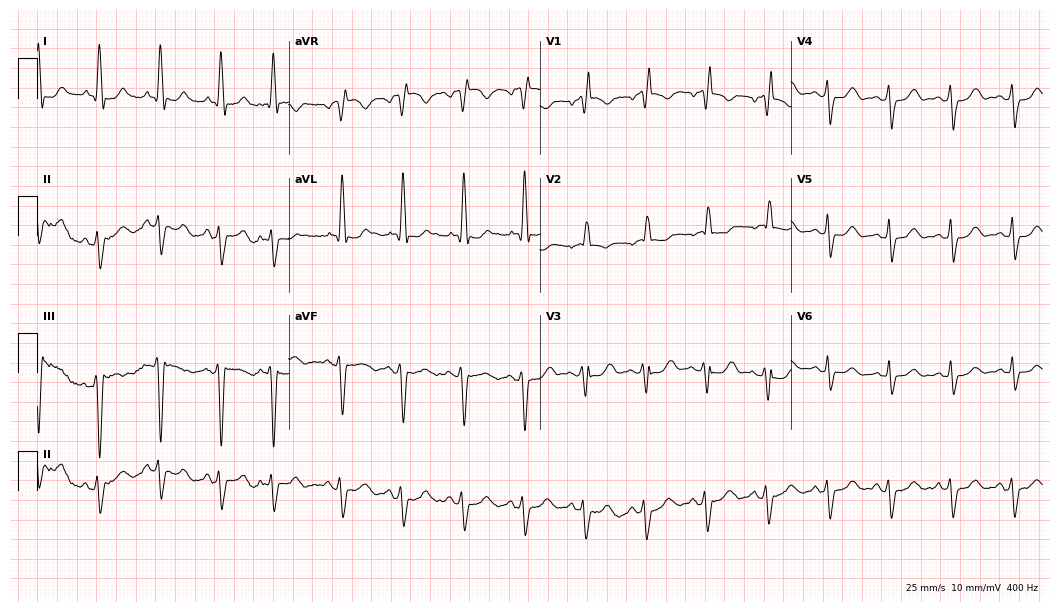
ECG — a female patient, 84 years old. Screened for six findings — first-degree AV block, right bundle branch block, left bundle branch block, sinus bradycardia, atrial fibrillation, sinus tachycardia — none is recorded. Findings outside these six are not listed.